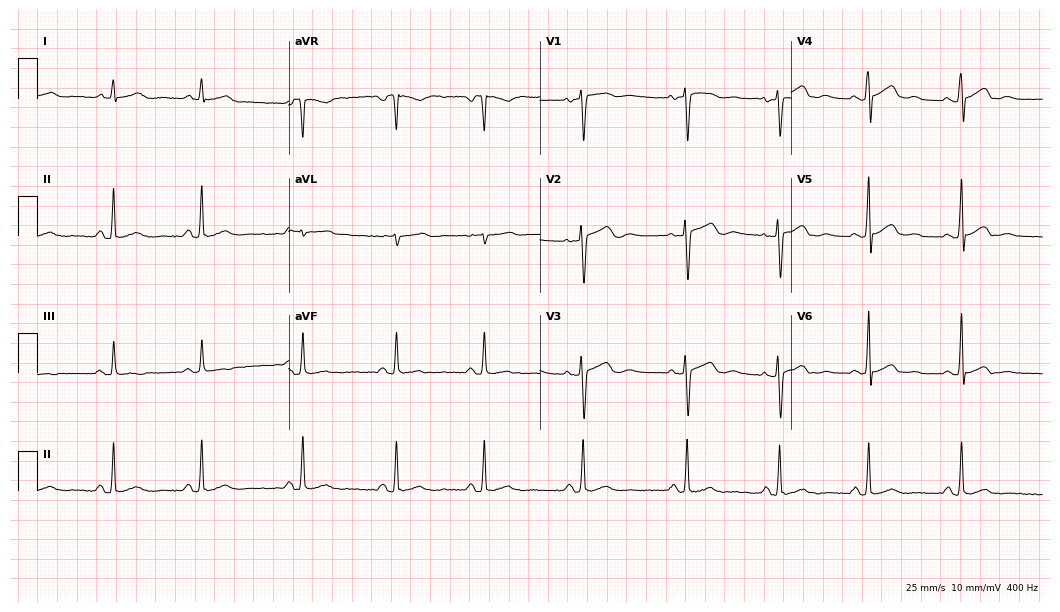
12-lead ECG from a 32-year-old female (10.2-second recording at 400 Hz). Recorded interpretation: within normal limits.